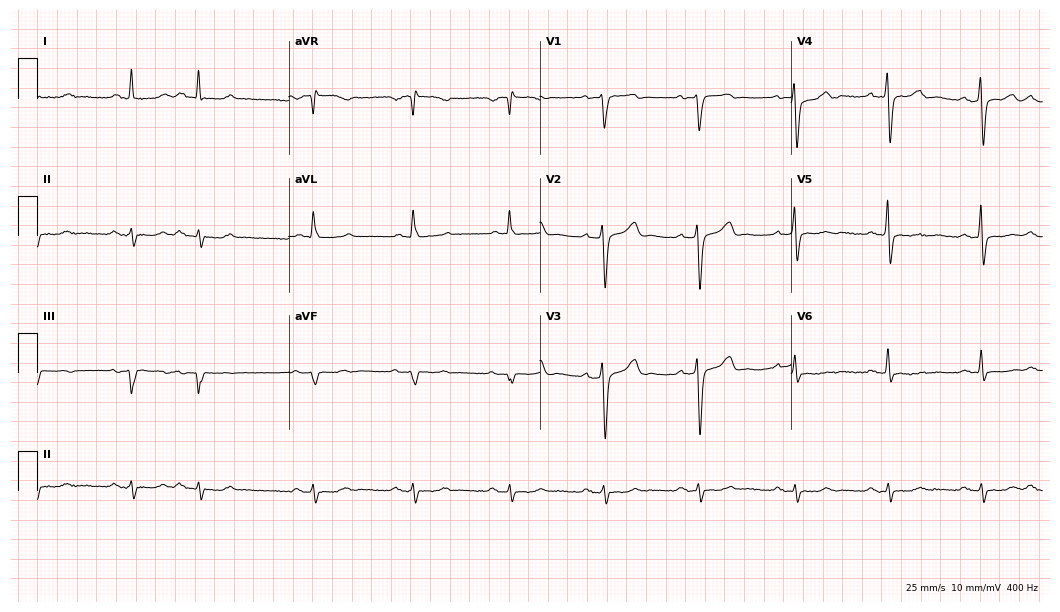
12-lead ECG from a 77-year-old man (10.2-second recording at 400 Hz). No first-degree AV block, right bundle branch block (RBBB), left bundle branch block (LBBB), sinus bradycardia, atrial fibrillation (AF) or sinus tachycardia recorded for this tracing.